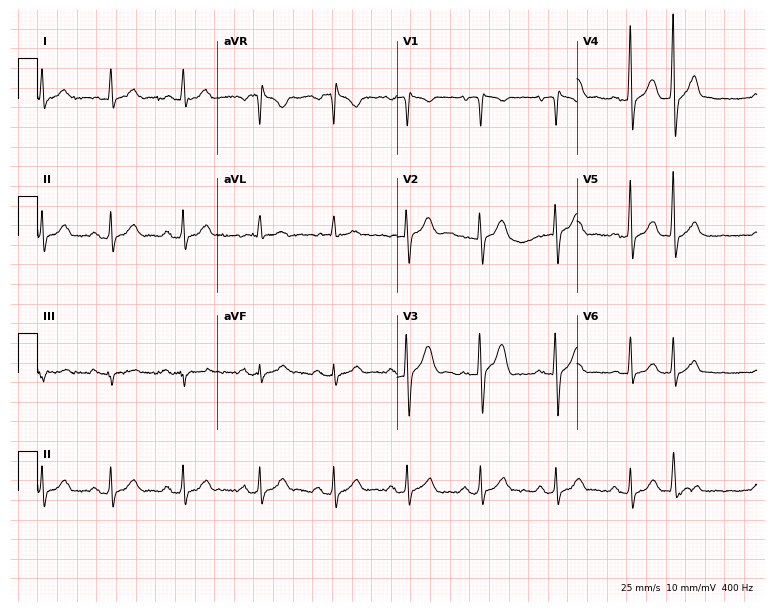
Standard 12-lead ECG recorded from a male, 64 years old (7.3-second recording at 400 Hz). None of these six findings is recorded: first-degree AV block, right bundle branch block, left bundle branch block, sinus bradycardia, atrial fibrillation, sinus tachycardia.